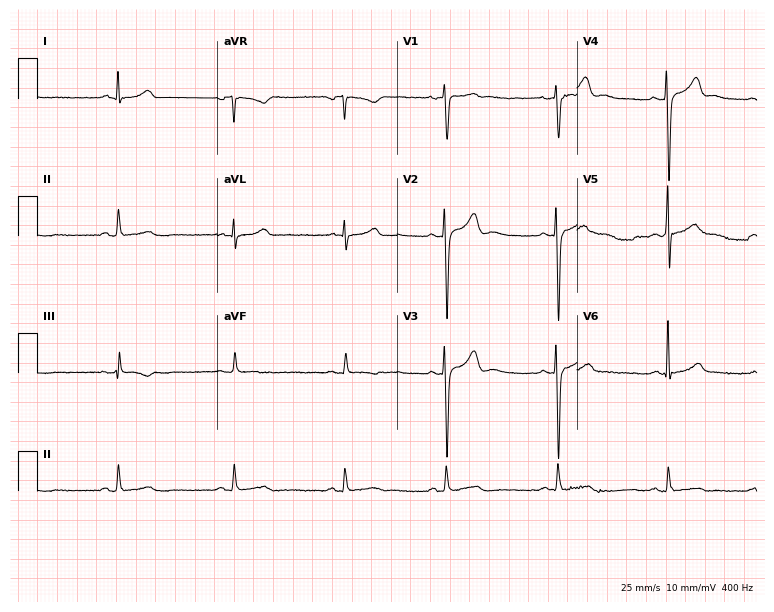
12-lead ECG from a male, 18 years old (7.3-second recording at 400 Hz). No first-degree AV block, right bundle branch block, left bundle branch block, sinus bradycardia, atrial fibrillation or sinus tachycardia recorded for this tracing. Other findings, if any, are not listed.